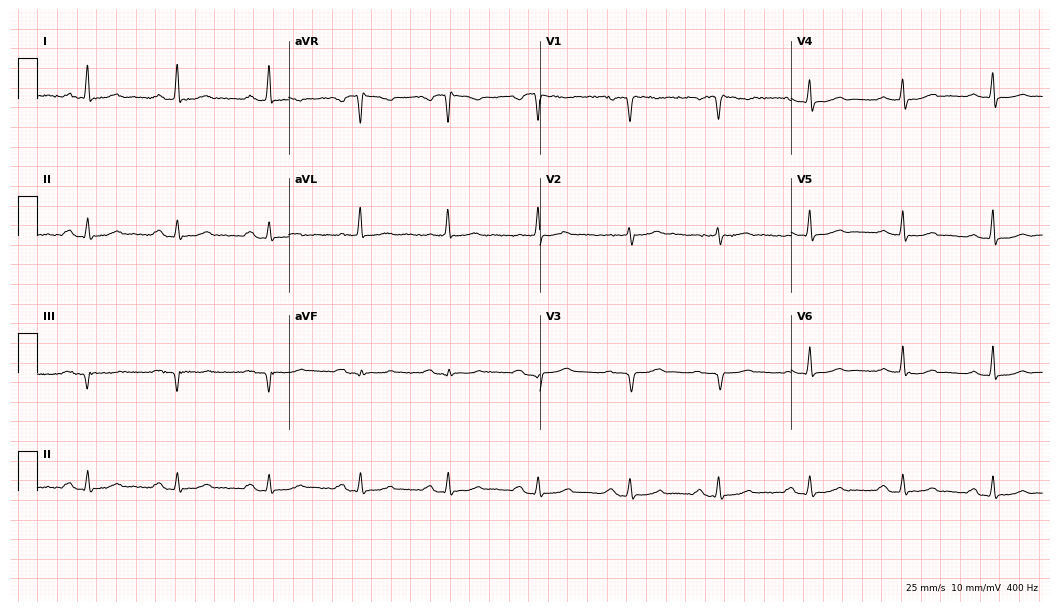
Resting 12-lead electrocardiogram (10.2-second recording at 400 Hz). Patient: a 60-year-old female. Read as a normal ECG.